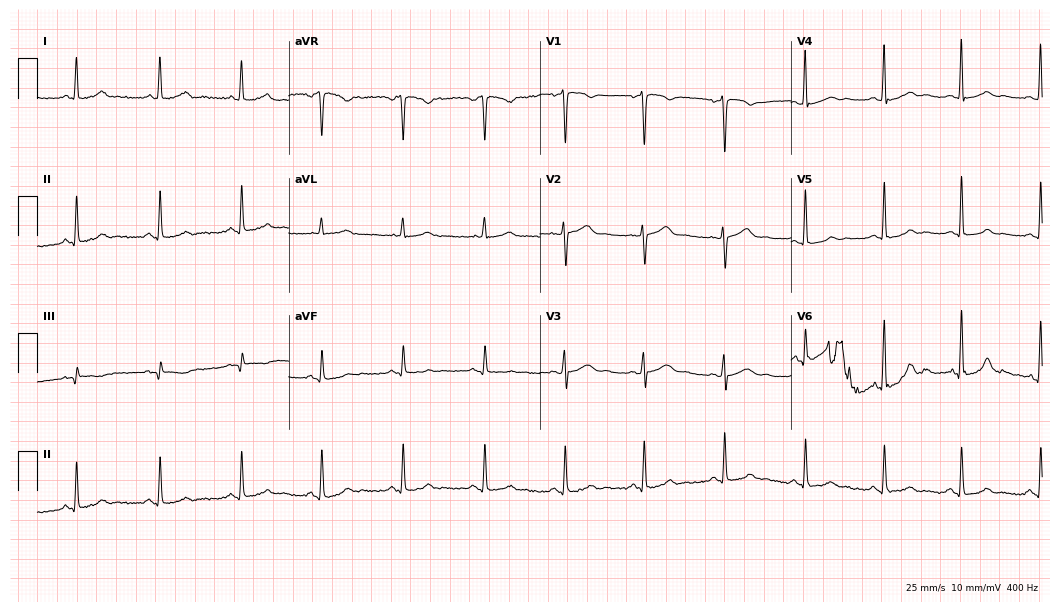
12-lead ECG (10.2-second recording at 400 Hz) from a female patient, 46 years old. Screened for six findings — first-degree AV block, right bundle branch block (RBBB), left bundle branch block (LBBB), sinus bradycardia, atrial fibrillation (AF), sinus tachycardia — none is recorded. Other findings, if any, are not listed.